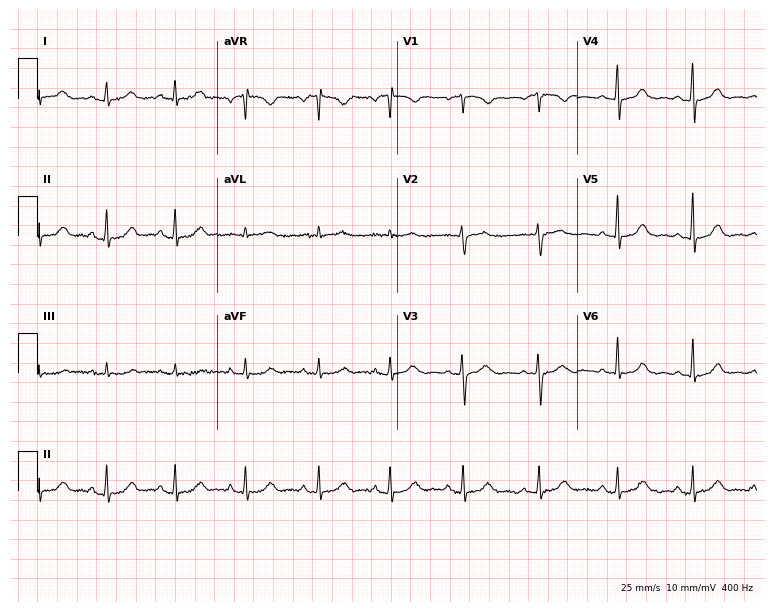
Electrocardiogram (7.3-second recording at 400 Hz), a 67-year-old woman. Overall reading on record: normal ECG.